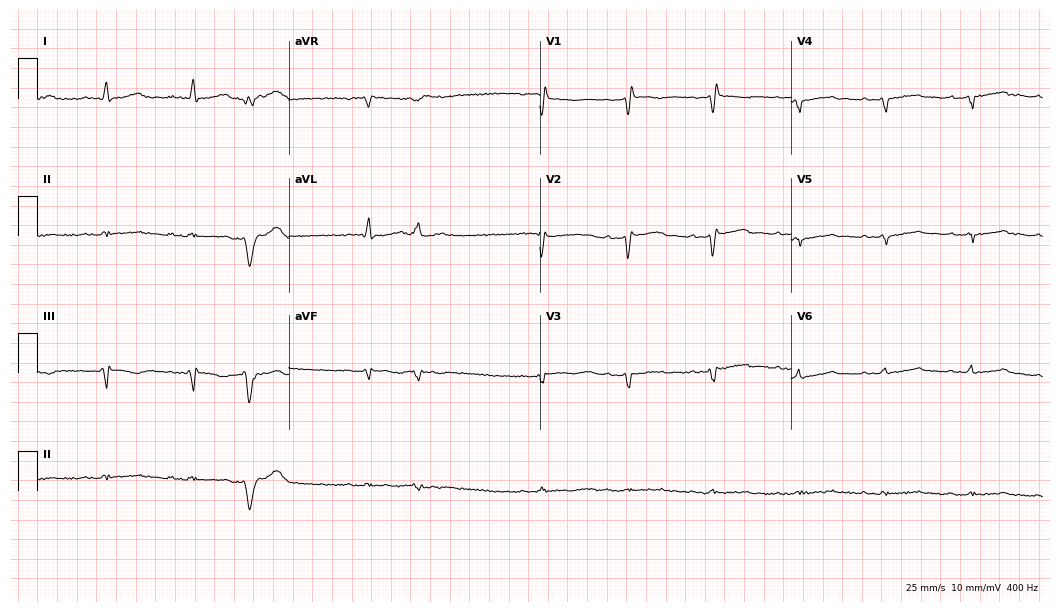
12-lead ECG from a man, 72 years old (10.2-second recording at 400 Hz). No first-degree AV block, right bundle branch block (RBBB), left bundle branch block (LBBB), sinus bradycardia, atrial fibrillation (AF) or sinus tachycardia recorded for this tracing. Findings outside these six are not listed.